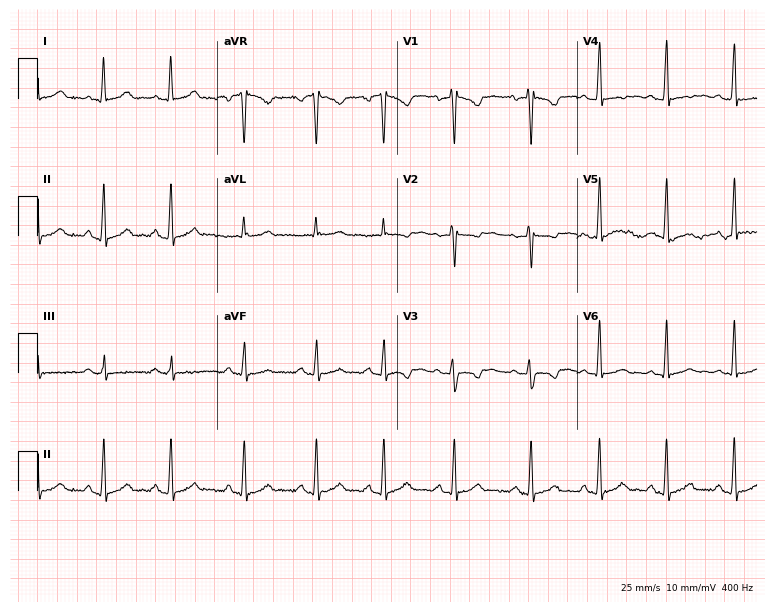
12-lead ECG from a female, 26 years old (7.3-second recording at 400 Hz). No first-degree AV block, right bundle branch block (RBBB), left bundle branch block (LBBB), sinus bradycardia, atrial fibrillation (AF) or sinus tachycardia recorded for this tracing.